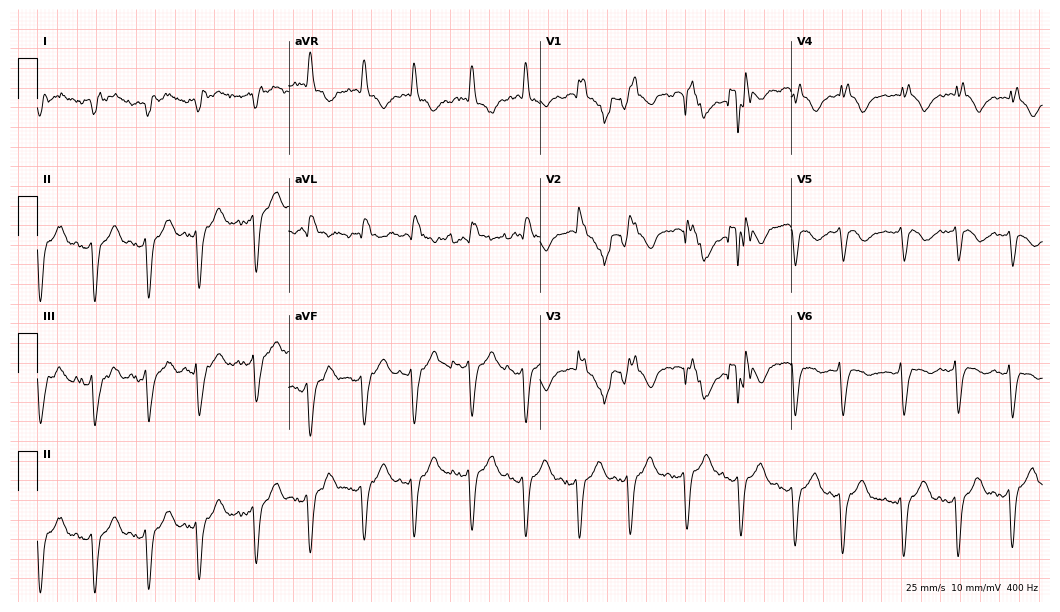
ECG — an 81-year-old female. Screened for six findings — first-degree AV block, right bundle branch block (RBBB), left bundle branch block (LBBB), sinus bradycardia, atrial fibrillation (AF), sinus tachycardia — none is recorded.